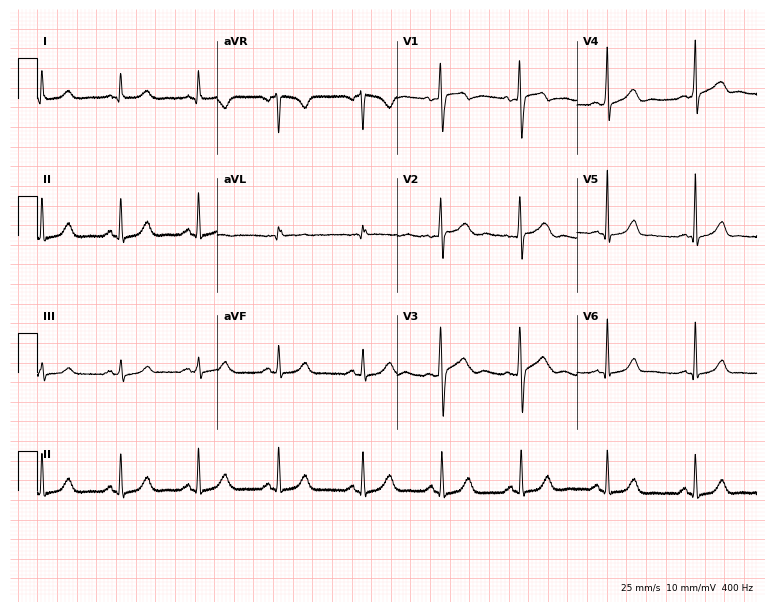
Standard 12-lead ECG recorded from a female, 42 years old (7.3-second recording at 400 Hz). Read as a normal ECG.